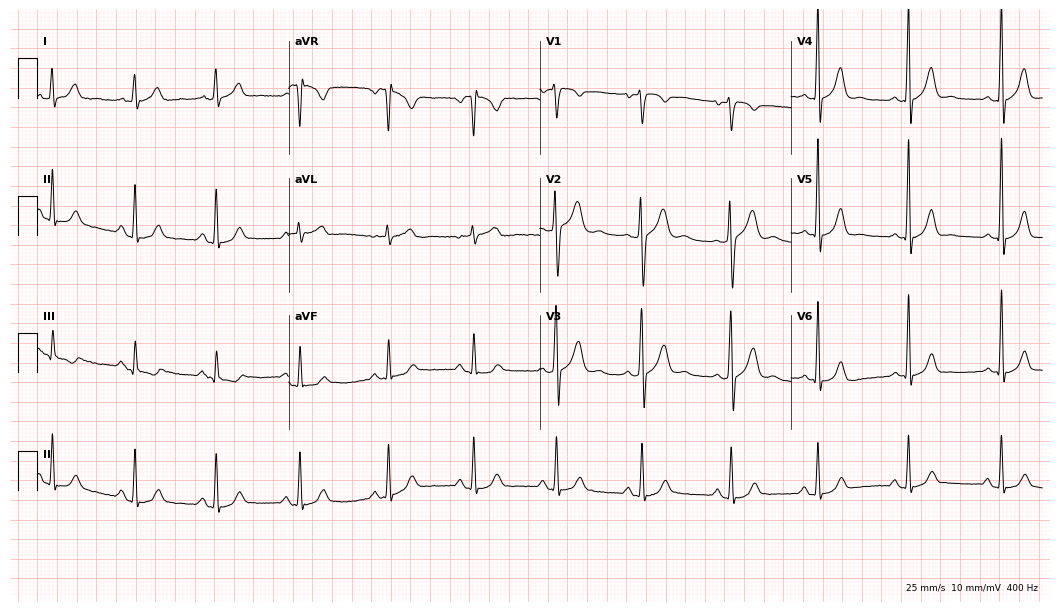
Electrocardiogram, a 32-year-old man. Of the six screened findings (first-degree AV block, right bundle branch block (RBBB), left bundle branch block (LBBB), sinus bradycardia, atrial fibrillation (AF), sinus tachycardia), none is recorded.